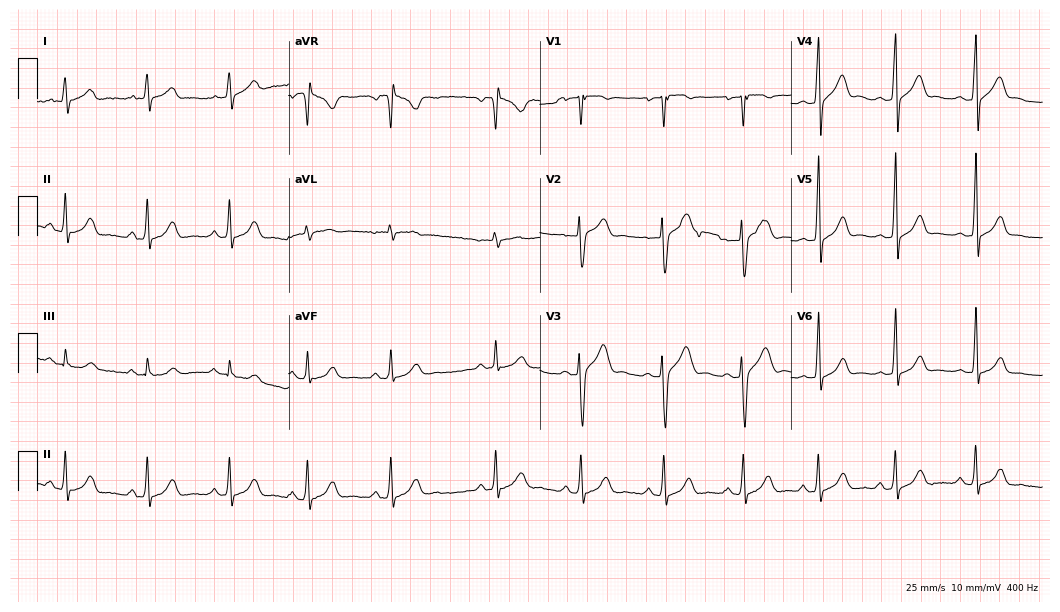
12-lead ECG (10.2-second recording at 400 Hz) from a 28-year-old male. Screened for six findings — first-degree AV block, right bundle branch block, left bundle branch block, sinus bradycardia, atrial fibrillation, sinus tachycardia — none is recorded. Only these six findings were labelled.